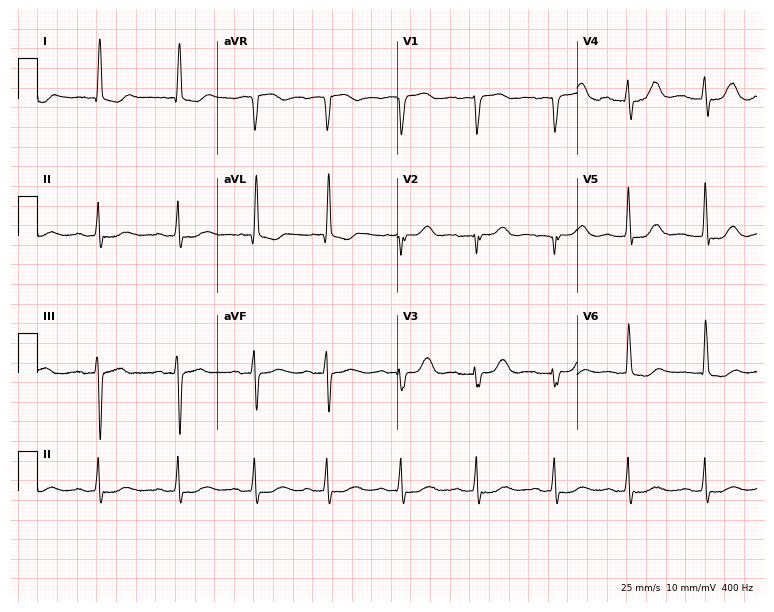
12-lead ECG (7.3-second recording at 400 Hz) from an 84-year-old female. Findings include first-degree AV block.